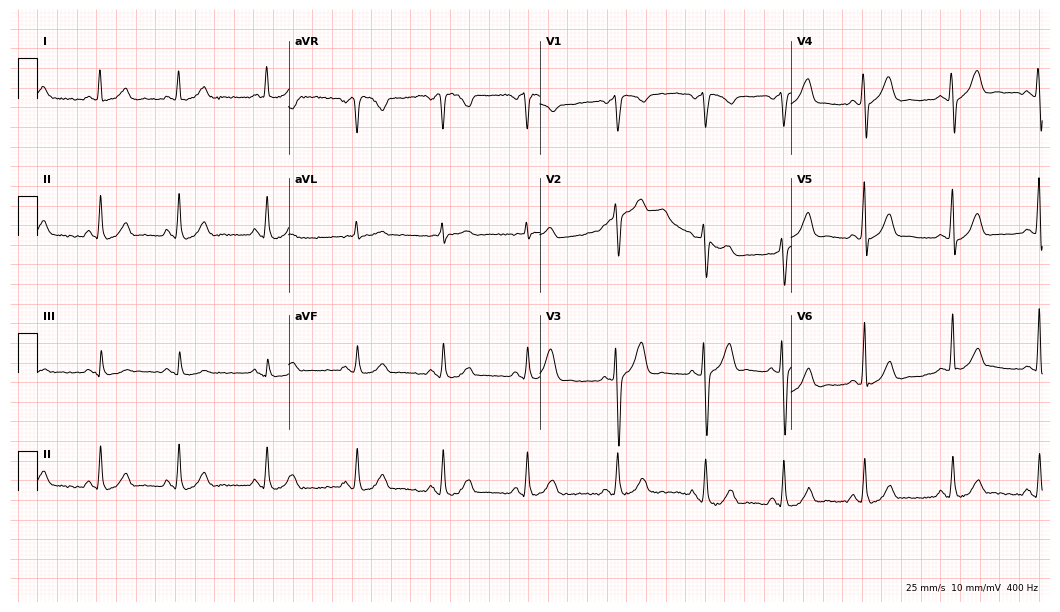
Resting 12-lead electrocardiogram (10.2-second recording at 400 Hz). Patient: a 41-year-old male. Read as a normal ECG.